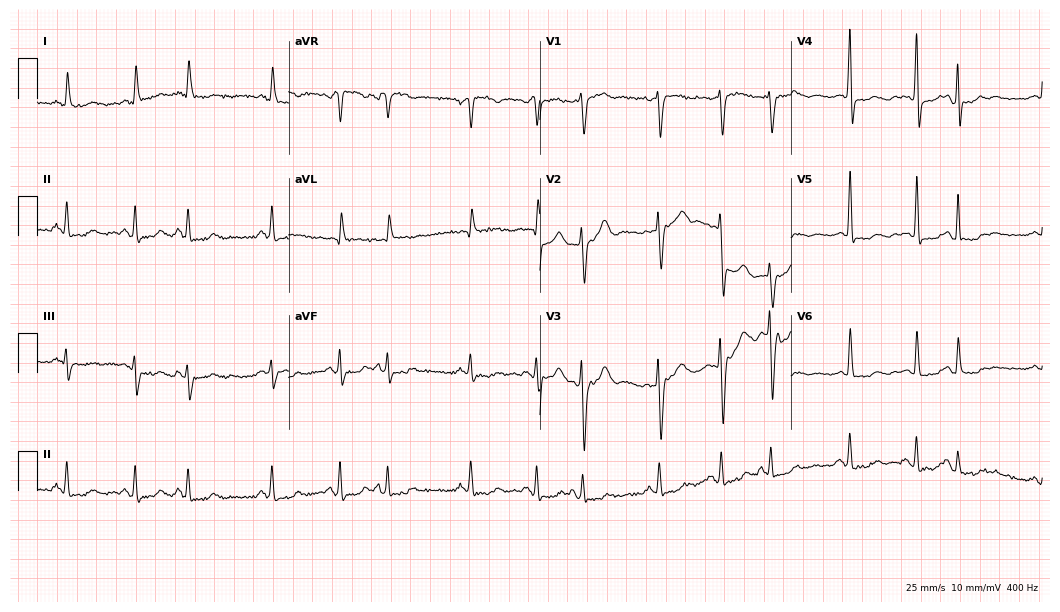
Electrocardiogram, a 70-year-old female patient. Of the six screened findings (first-degree AV block, right bundle branch block, left bundle branch block, sinus bradycardia, atrial fibrillation, sinus tachycardia), none is recorded. Findings outside these six are not listed.